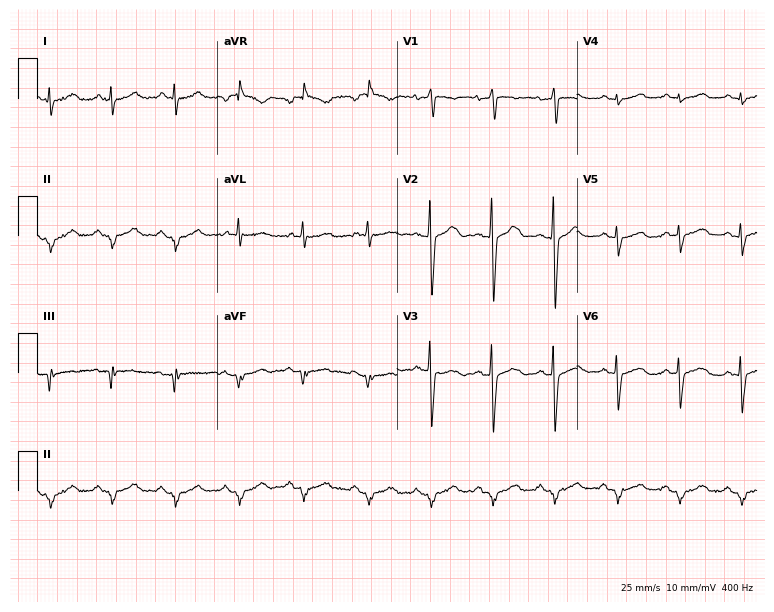
12-lead ECG from a male patient, 48 years old. No first-degree AV block, right bundle branch block (RBBB), left bundle branch block (LBBB), sinus bradycardia, atrial fibrillation (AF) or sinus tachycardia recorded for this tracing.